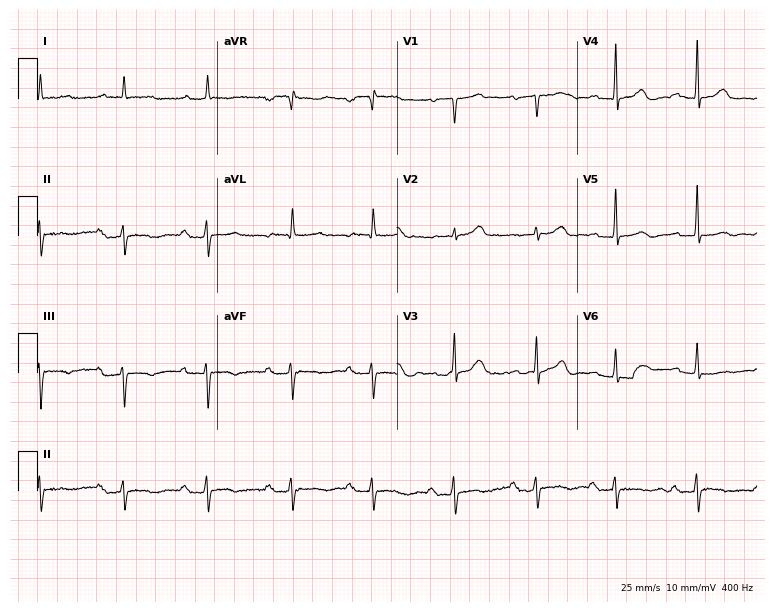
12-lead ECG from a 76-year-old male patient. Labelled as a normal ECG.